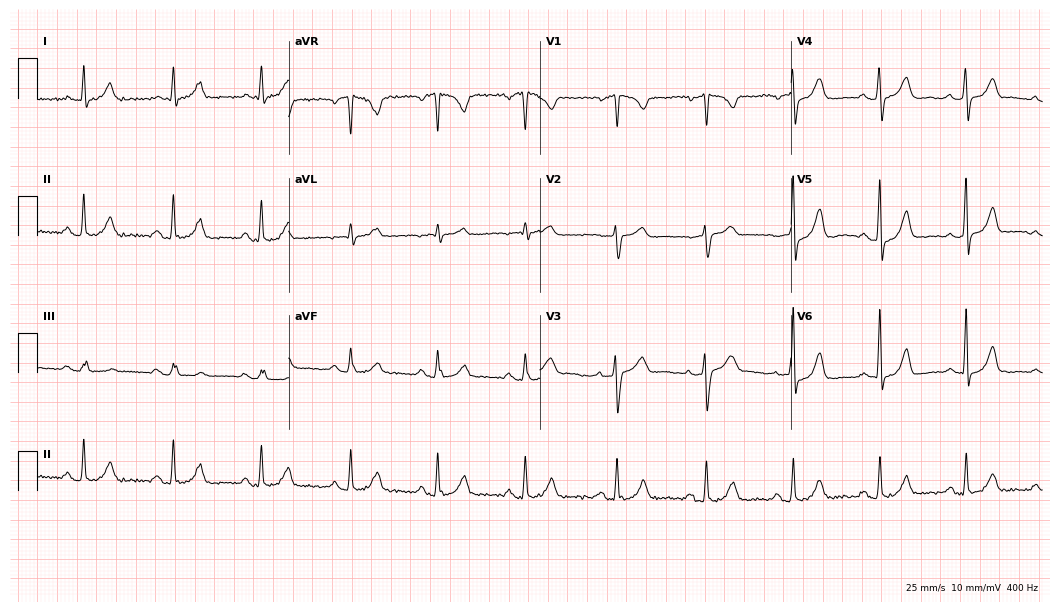
Resting 12-lead electrocardiogram. Patient: a female, 60 years old. Read as a normal ECG.